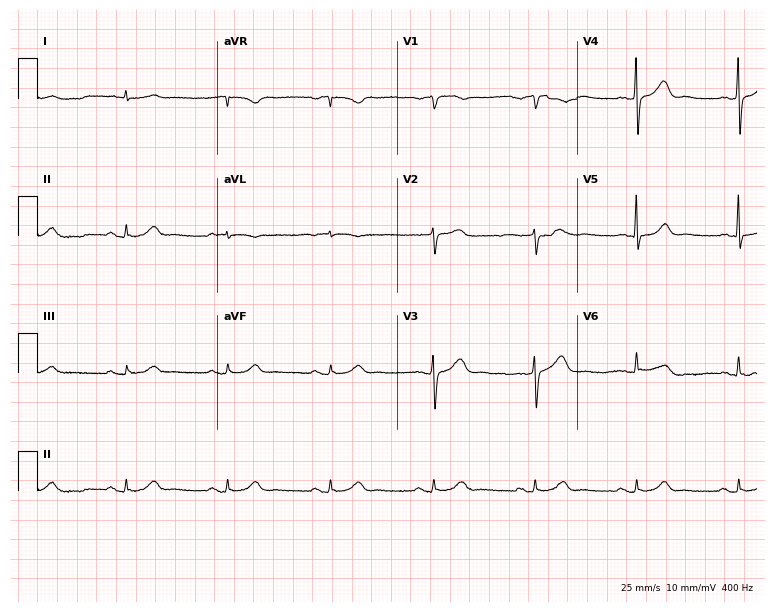
ECG (7.3-second recording at 400 Hz) — a 77-year-old man. Screened for six findings — first-degree AV block, right bundle branch block, left bundle branch block, sinus bradycardia, atrial fibrillation, sinus tachycardia — none is recorded.